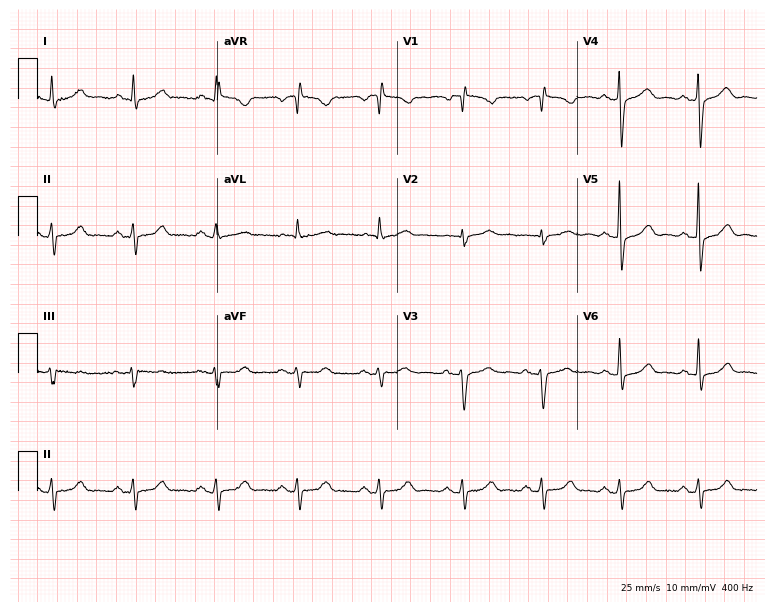
12-lead ECG from a female patient, 53 years old. Screened for six findings — first-degree AV block, right bundle branch block, left bundle branch block, sinus bradycardia, atrial fibrillation, sinus tachycardia — none is recorded.